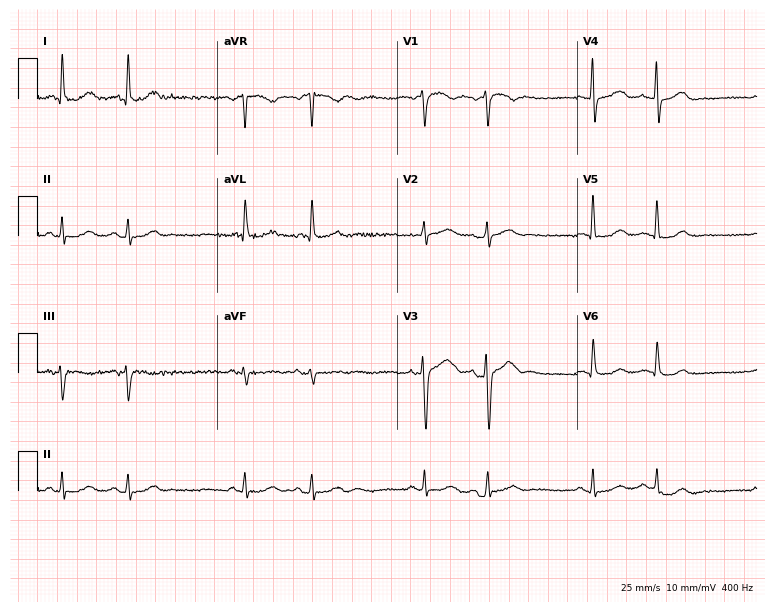
Standard 12-lead ECG recorded from a 65-year-old man. None of these six findings is recorded: first-degree AV block, right bundle branch block (RBBB), left bundle branch block (LBBB), sinus bradycardia, atrial fibrillation (AF), sinus tachycardia.